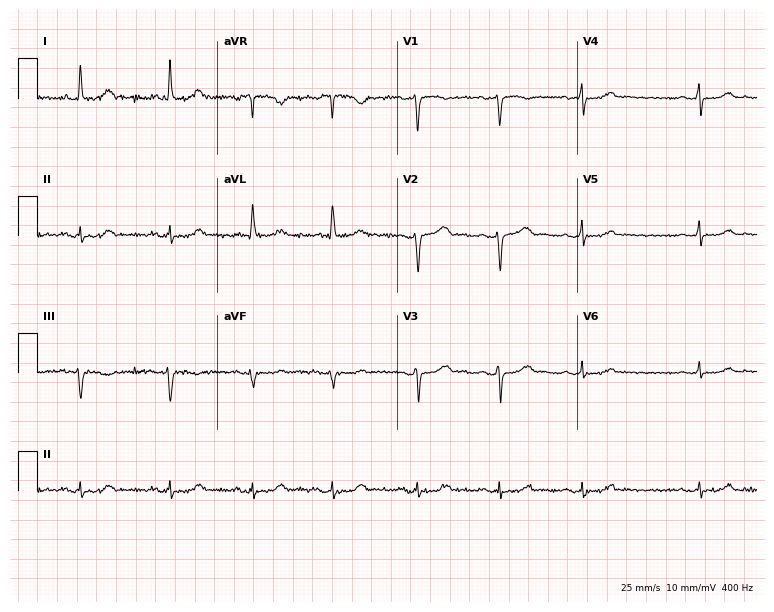
Resting 12-lead electrocardiogram. Patient: a 65-year-old female. Read as a normal ECG.